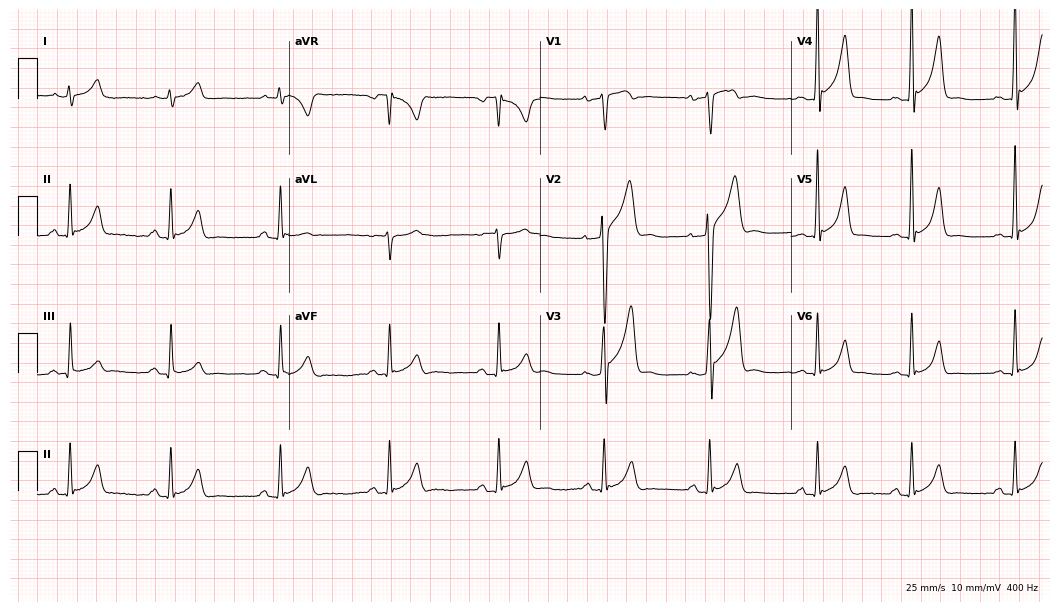
12-lead ECG from a man, 24 years old. No first-degree AV block, right bundle branch block (RBBB), left bundle branch block (LBBB), sinus bradycardia, atrial fibrillation (AF) or sinus tachycardia recorded for this tracing. Findings outside these six are not listed.